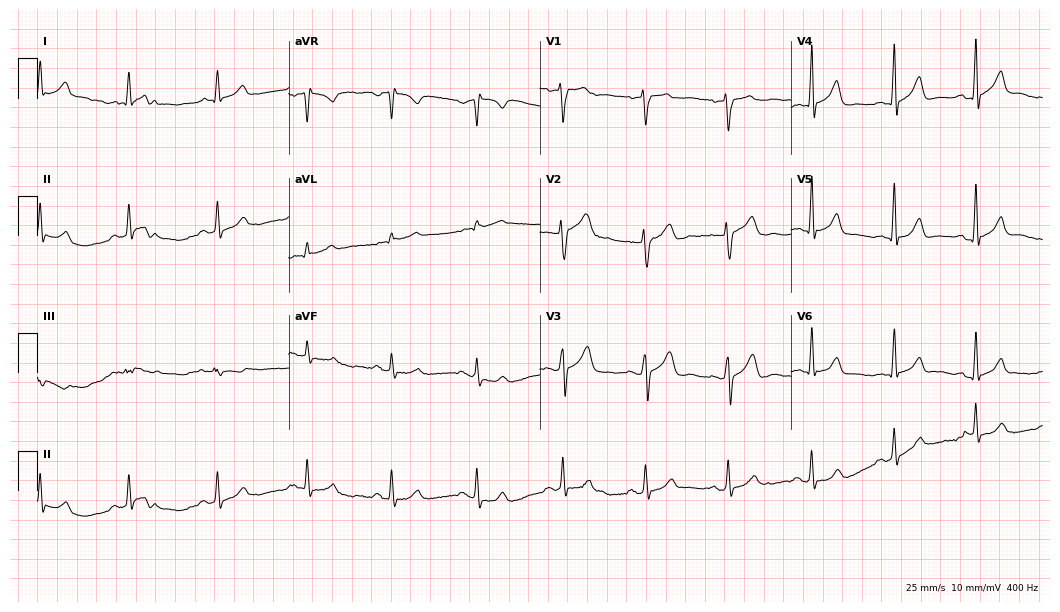
ECG (10.2-second recording at 400 Hz) — a 60-year-old man. Labelled as a normal ECG.